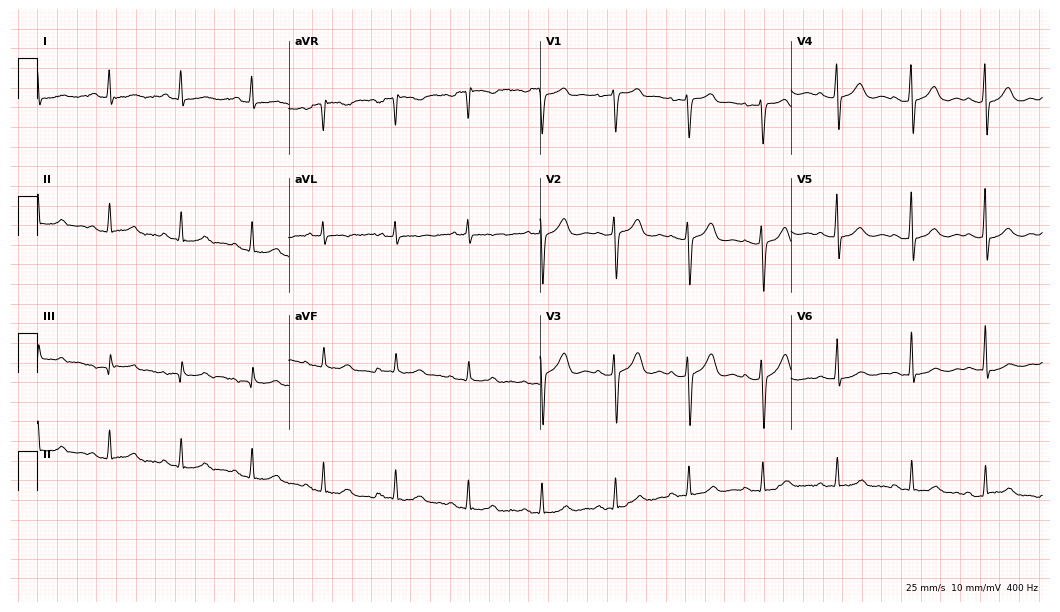
ECG (10.2-second recording at 400 Hz) — a female, 56 years old. Screened for six findings — first-degree AV block, right bundle branch block, left bundle branch block, sinus bradycardia, atrial fibrillation, sinus tachycardia — none is recorded. Findings outside these six are not listed.